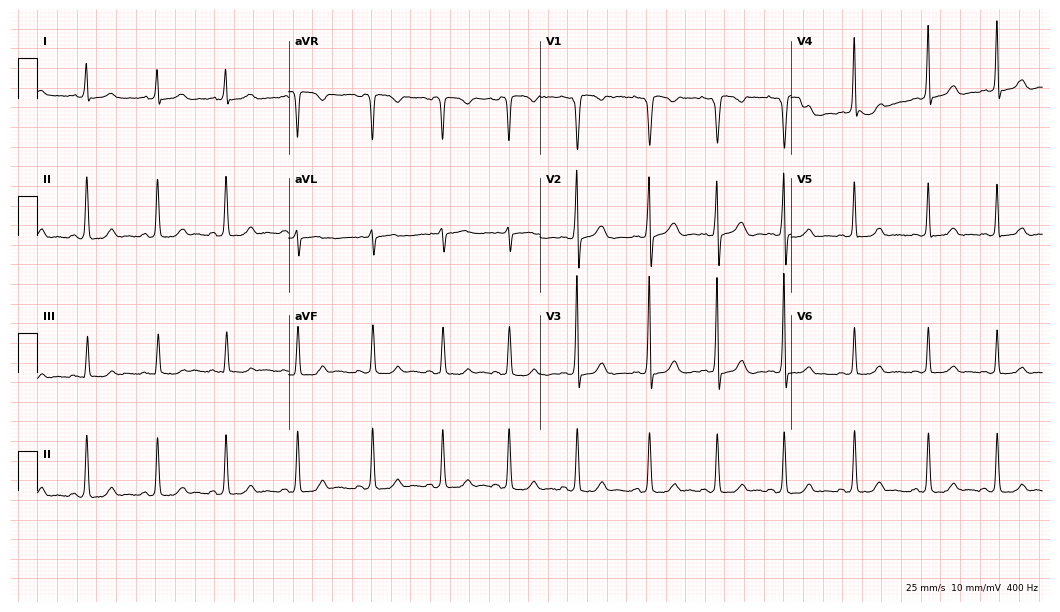
Electrocardiogram, a female patient, 22 years old. Of the six screened findings (first-degree AV block, right bundle branch block, left bundle branch block, sinus bradycardia, atrial fibrillation, sinus tachycardia), none is recorded. Findings outside these six are not listed.